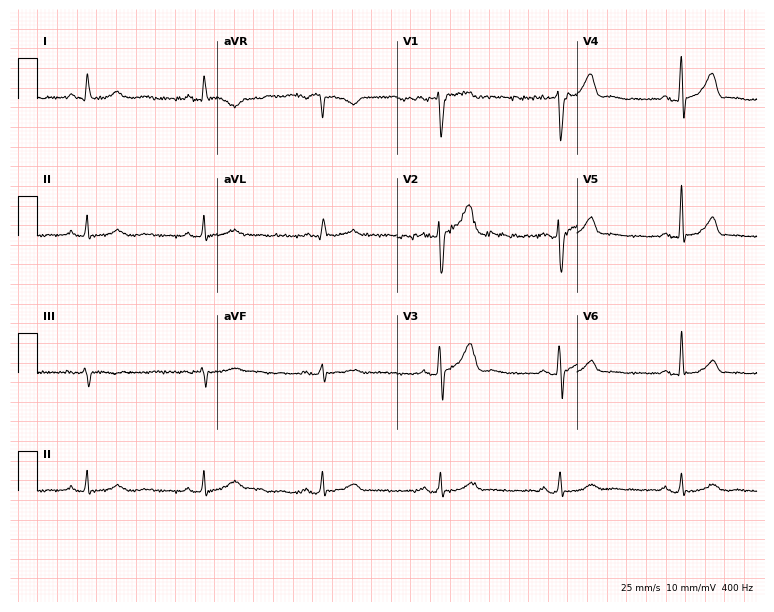
Standard 12-lead ECG recorded from a male, 64 years old (7.3-second recording at 400 Hz). The tracing shows sinus bradycardia (a sinus rate of 50 beats per minute or less).